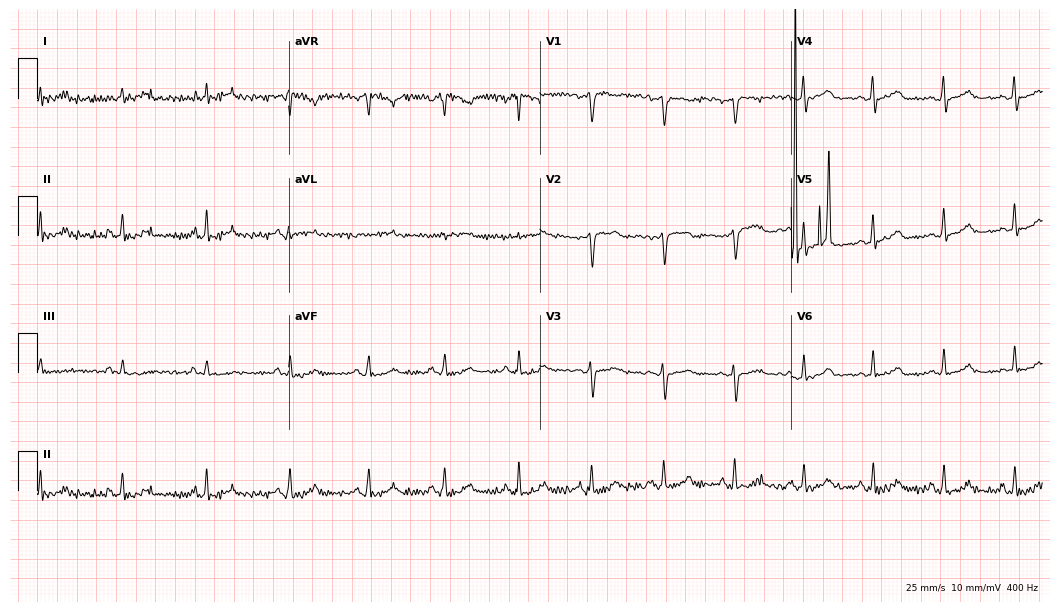
12-lead ECG (10.2-second recording at 400 Hz) from a 36-year-old woman. Screened for six findings — first-degree AV block, right bundle branch block, left bundle branch block, sinus bradycardia, atrial fibrillation, sinus tachycardia — none is recorded. Other findings, if any, are not listed.